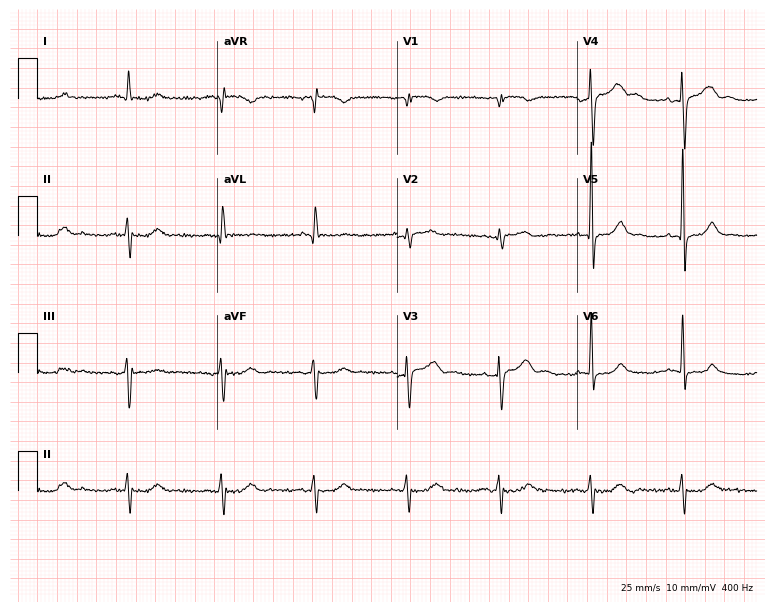
ECG (7.3-second recording at 400 Hz) — a man, 71 years old. Screened for six findings — first-degree AV block, right bundle branch block, left bundle branch block, sinus bradycardia, atrial fibrillation, sinus tachycardia — none is recorded.